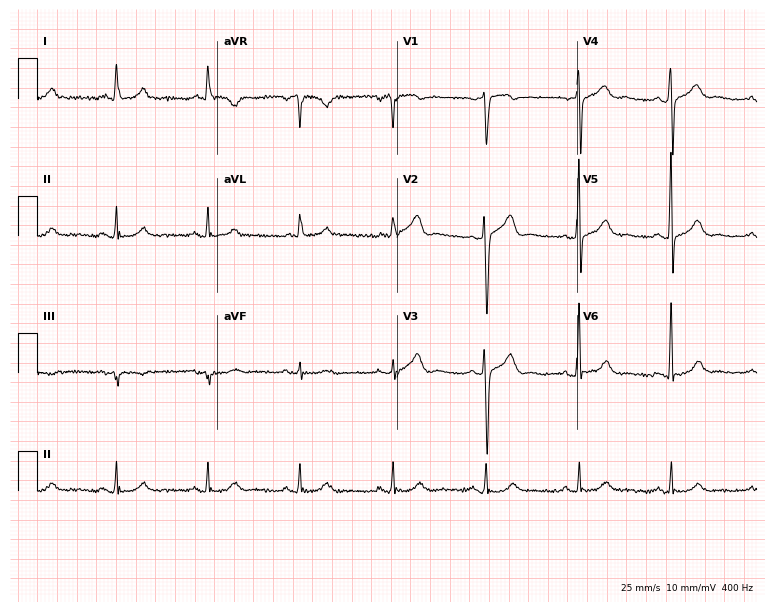
ECG — a male patient, 61 years old. Screened for six findings — first-degree AV block, right bundle branch block (RBBB), left bundle branch block (LBBB), sinus bradycardia, atrial fibrillation (AF), sinus tachycardia — none is recorded. Findings outside these six are not listed.